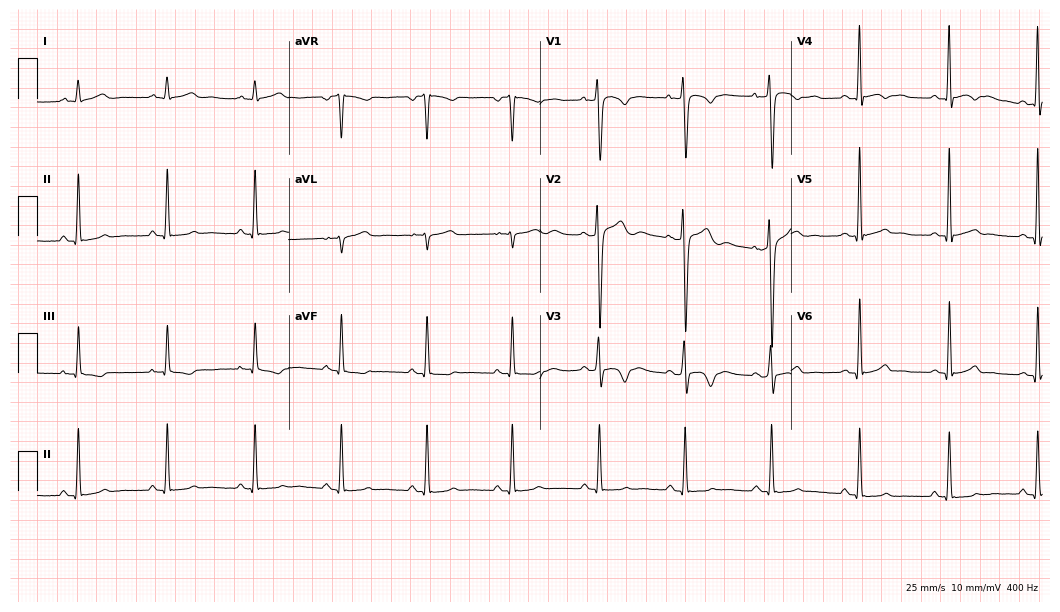
ECG — a 22-year-old male. Screened for six findings — first-degree AV block, right bundle branch block, left bundle branch block, sinus bradycardia, atrial fibrillation, sinus tachycardia — none is recorded.